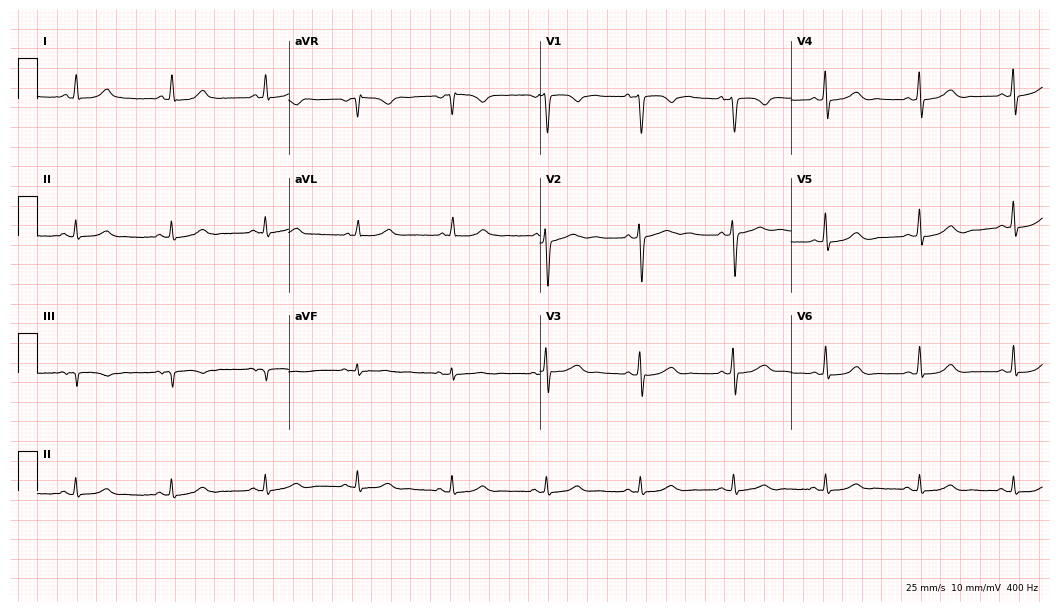
12-lead ECG from a 49-year-old woman (10.2-second recording at 400 Hz). No first-degree AV block, right bundle branch block, left bundle branch block, sinus bradycardia, atrial fibrillation or sinus tachycardia recorded for this tracing.